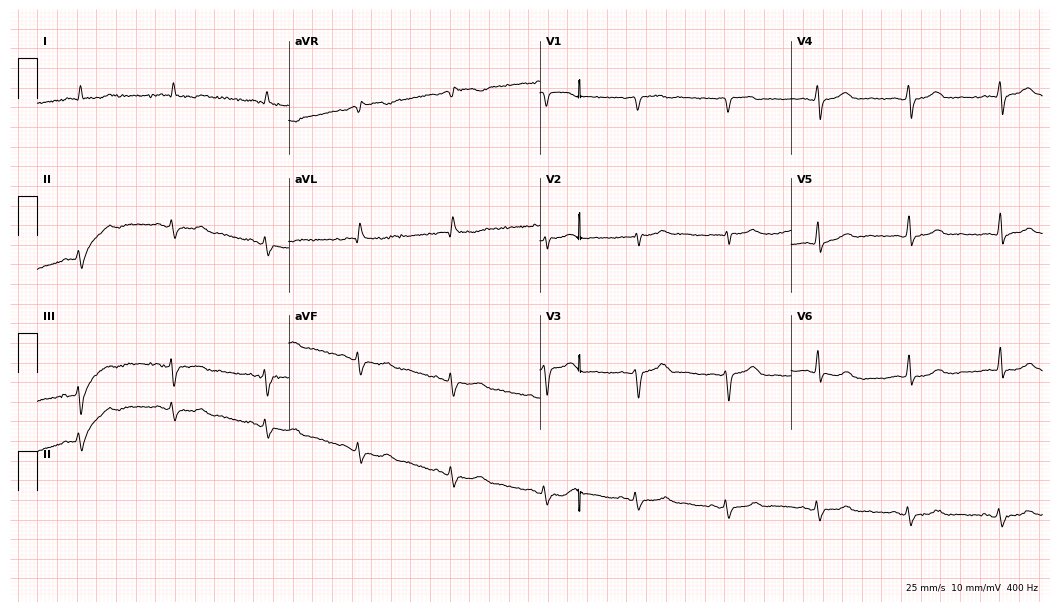
12-lead ECG (10.2-second recording at 400 Hz) from a male, 69 years old. Screened for six findings — first-degree AV block, right bundle branch block, left bundle branch block, sinus bradycardia, atrial fibrillation, sinus tachycardia — none is recorded.